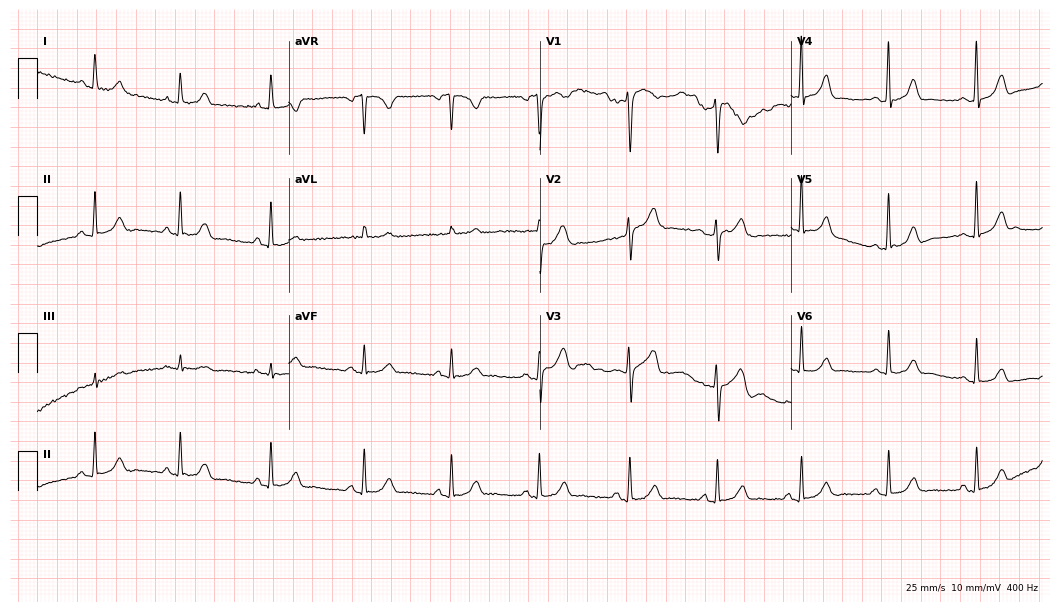
Resting 12-lead electrocardiogram. Patient: a woman, 38 years old. Read as a normal ECG.